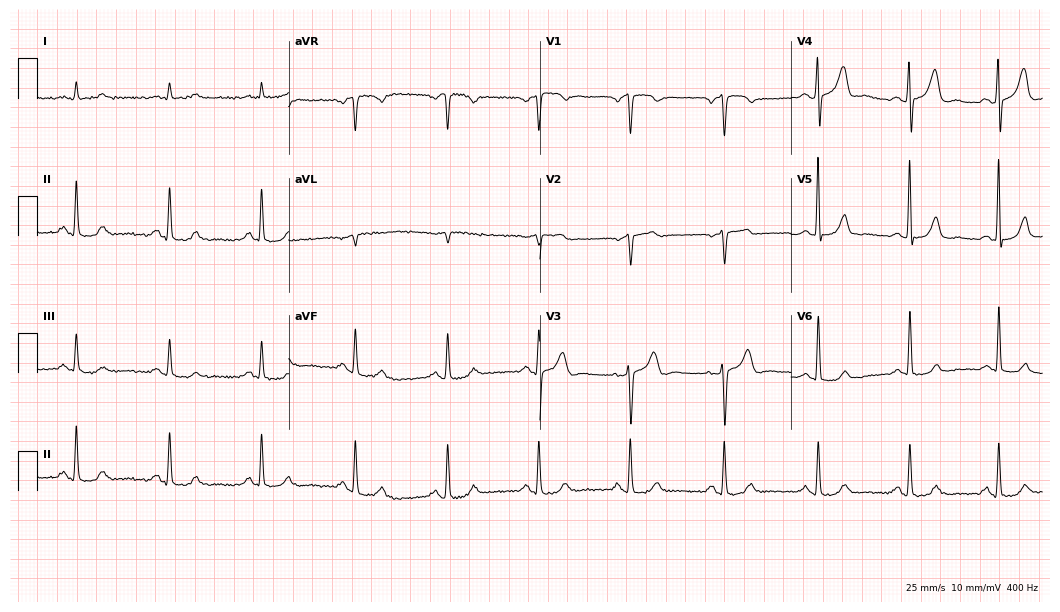
Resting 12-lead electrocardiogram (10.2-second recording at 400 Hz). Patient: a male, 78 years old. None of these six findings is recorded: first-degree AV block, right bundle branch block, left bundle branch block, sinus bradycardia, atrial fibrillation, sinus tachycardia.